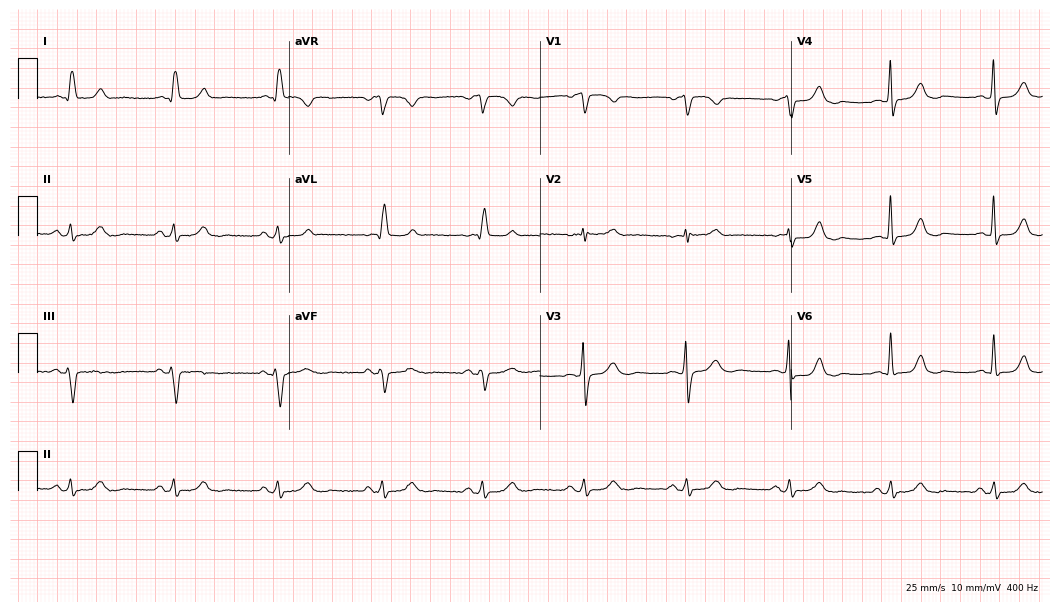
Standard 12-lead ECG recorded from a 66-year-old female patient. None of these six findings is recorded: first-degree AV block, right bundle branch block, left bundle branch block, sinus bradycardia, atrial fibrillation, sinus tachycardia. Other findings, if any, are not listed.